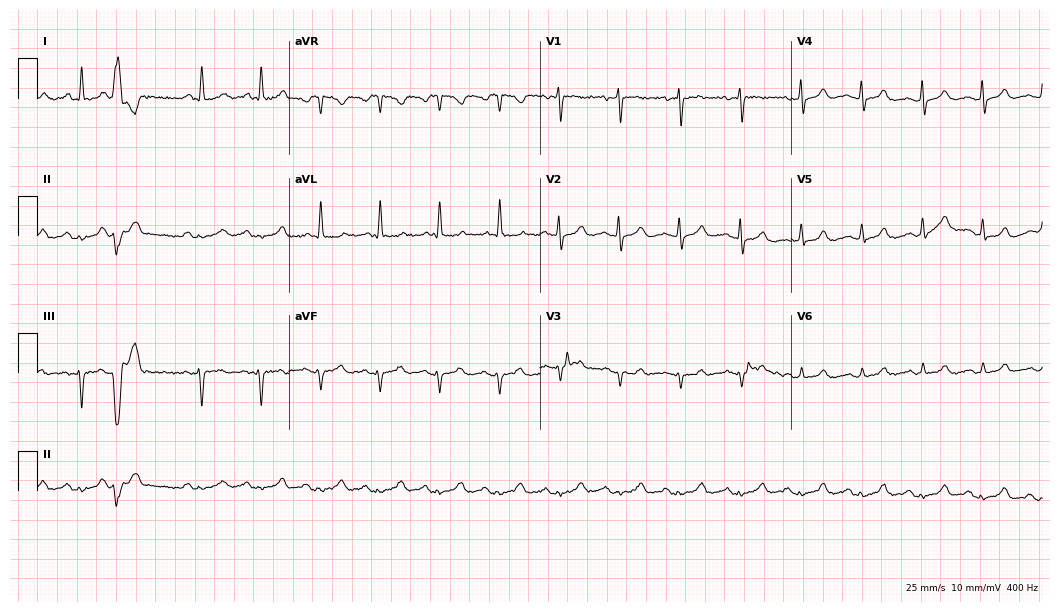
Resting 12-lead electrocardiogram. Patient: an 83-year-old female. None of these six findings is recorded: first-degree AV block, right bundle branch block, left bundle branch block, sinus bradycardia, atrial fibrillation, sinus tachycardia.